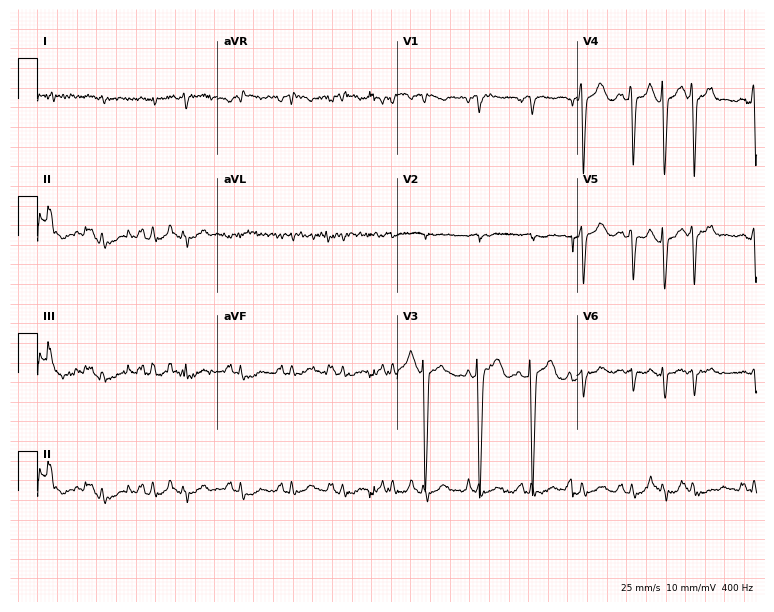
Electrocardiogram, an 80-year-old male. Of the six screened findings (first-degree AV block, right bundle branch block, left bundle branch block, sinus bradycardia, atrial fibrillation, sinus tachycardia), none is recorded.